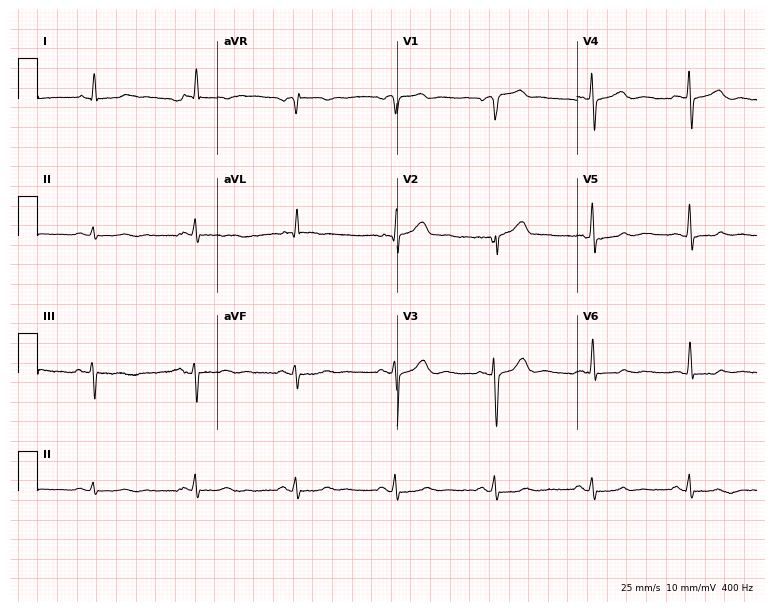
Electrocardiogram (7.3-second recording at 400 Hz), a man, 68 years old. Of the six screened findings (first-degree AV block, right bundle branch block, left bundle branch block, sinus bradycardia, atrial fibrillation, sinus tachycardia), none is recorded.